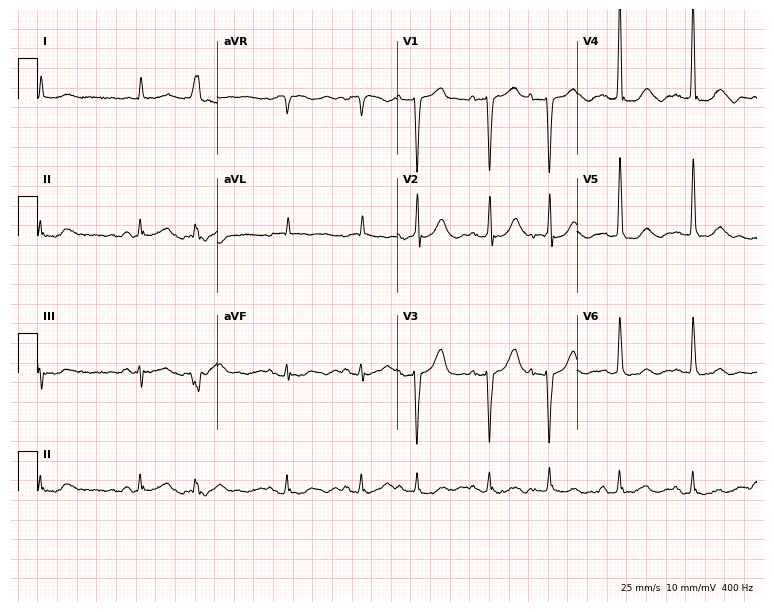
12-lead ECG from a man, 77 years old (7.3-second recording at 400 Hz). No first-degree AV block, right bundle branch block (RBBB), left bundle branch block (LBBB), sinus bradycardia, atrial fibrillation (AF) or sinus tachycardia recorded for this tracing.